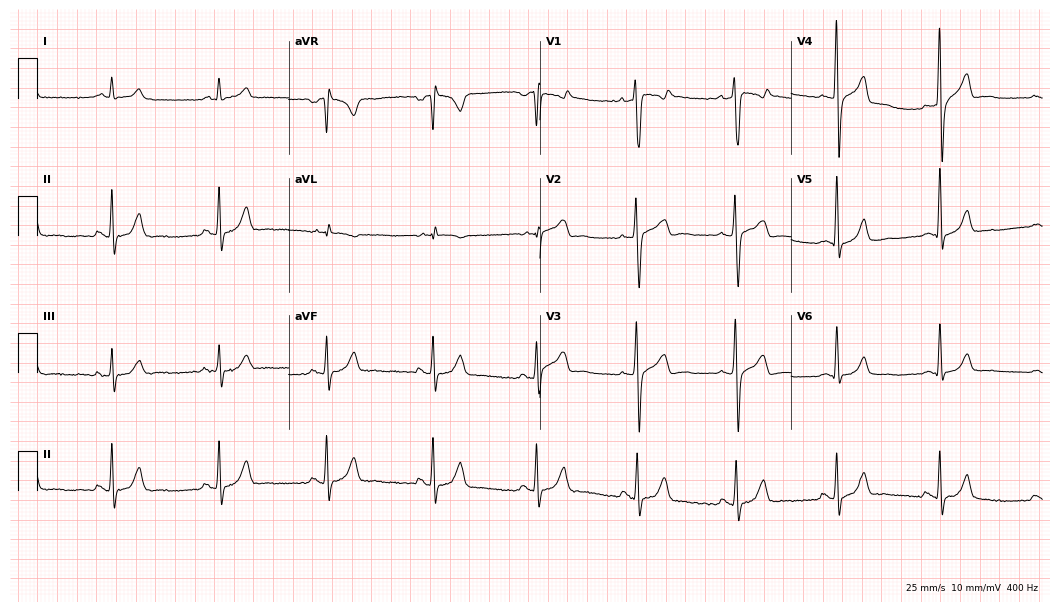
Electrocardiogram (10.2-second recording at 400 Hz), a male patient, 33 years old. Of the six screened findings (first-degree AV block, right bundle branch block, left bundle branch block, sinus bradycardia, atrial fibrillation, sinus tachycardia), none is recorded. Findings outside these six are not listed.